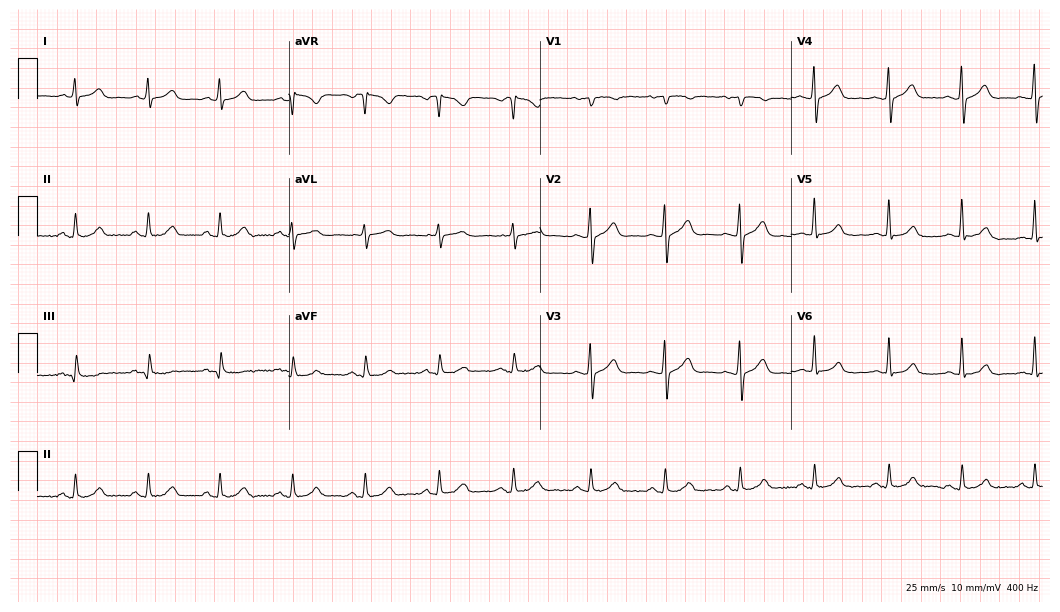
Electrocardiogram (10.2-second recording at 400 Hz), a 34-year-old male patient. Overall reading on record: normal ECG.